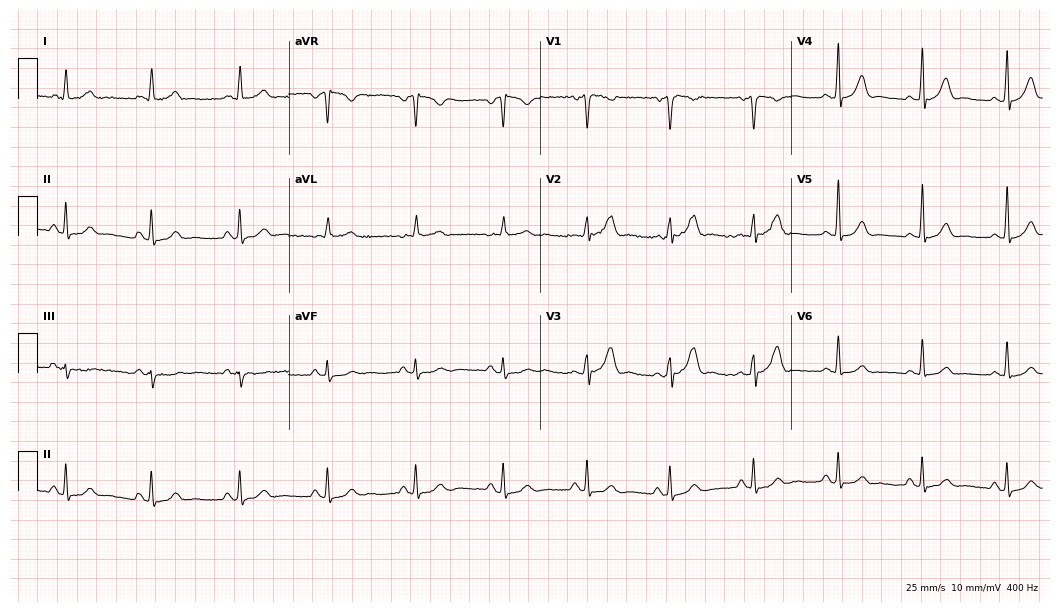
Resting 12-lead electrocardiogram. Patient: a female, 63 years old. Read as a normal ECG.